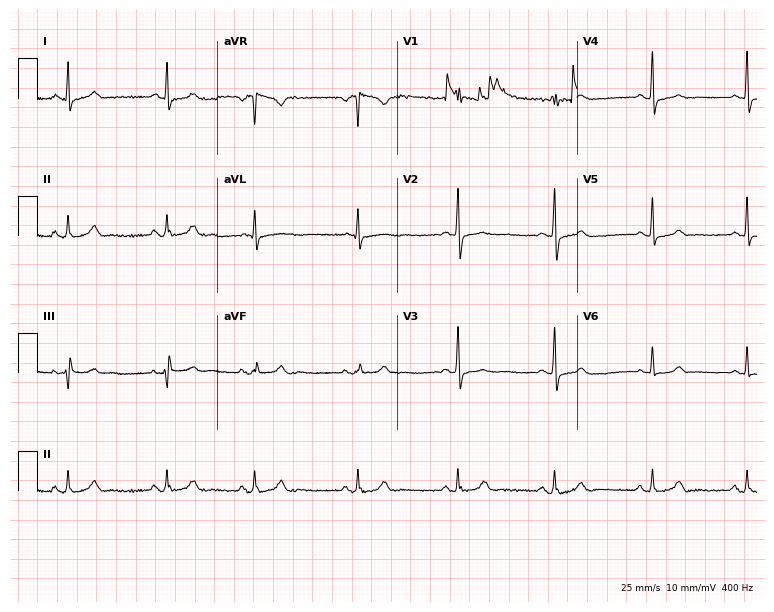
12-lead ECG (7.3-second recording at 400 Hz) from a female patient, 24 years old. Screened for six findings — first-degree AV block, right bundle branch block, left bundle branch block, sinus bradycardia, atrial fibrillation, sinus tachycardia — none is recorded. Only these six findings were labelled.